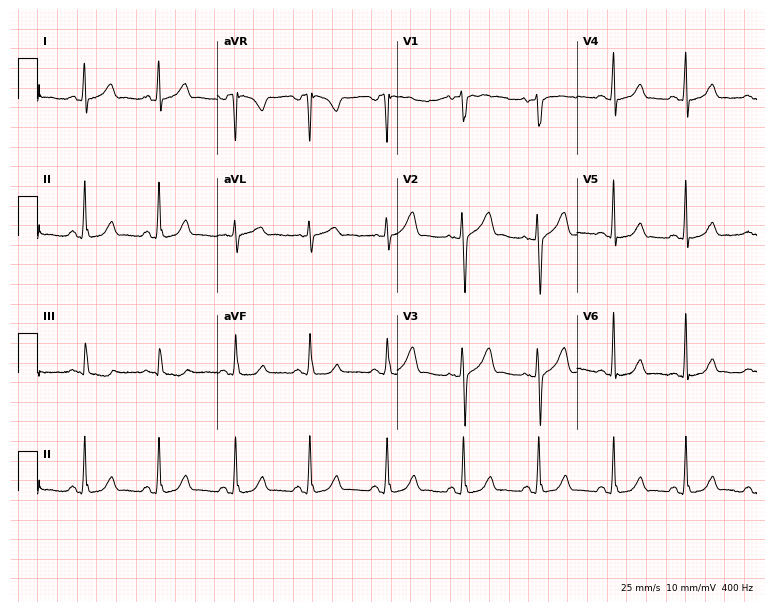
Standard 12-lead ECG recorded from a female patient, 32 years old (7.3-second recording at 400 Hz). None of these six findings is recorded: first-degree AV block, right bundle branch block, left bundle branch block, sinus bradycardia, atrial fibrillation, sinus tachycardia. Findings outside these six are not listed.